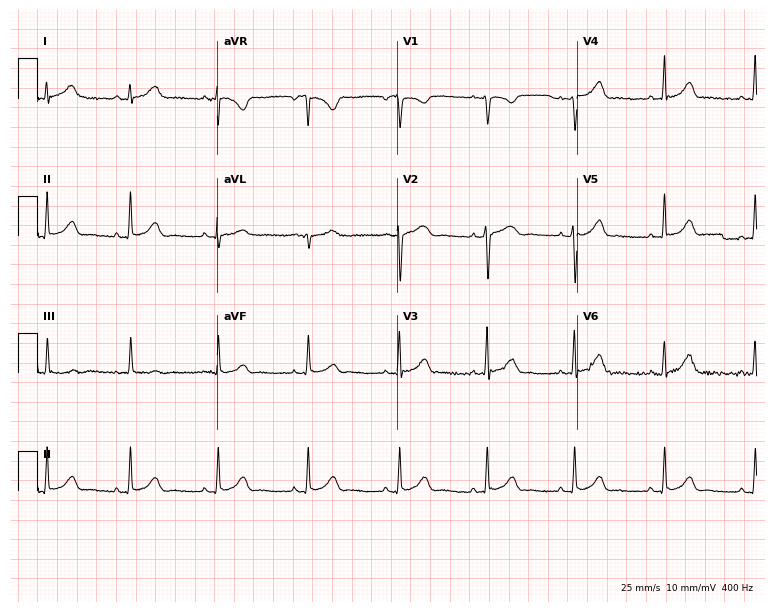
12-lead ECG from a 26-year-old female. No first-degree AV block, right bundle branch block, left bundle branch block, sinus bradycardia, atrial fibrillation or sinus tachycardia recorded for this tracing.